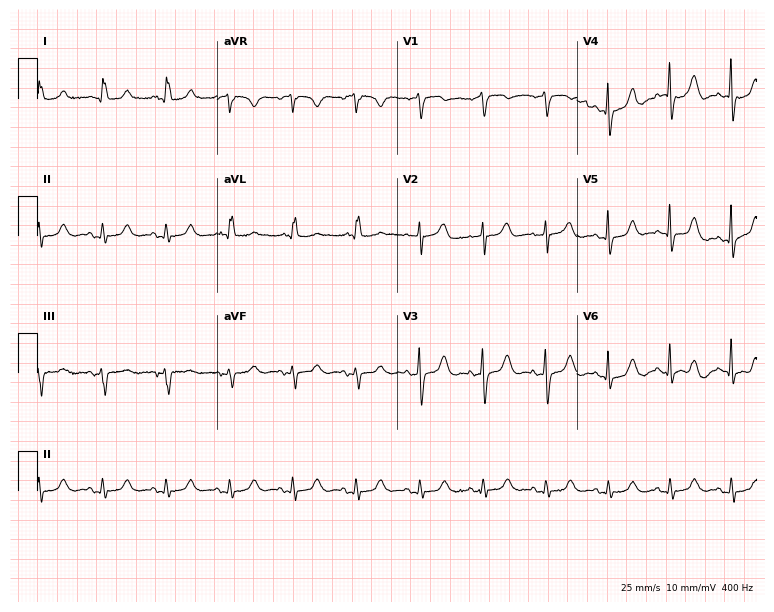
12-lead ECG (7.3-second recording at 400 Hz) from a female, 80 years old. Labelled as a normal ECG.